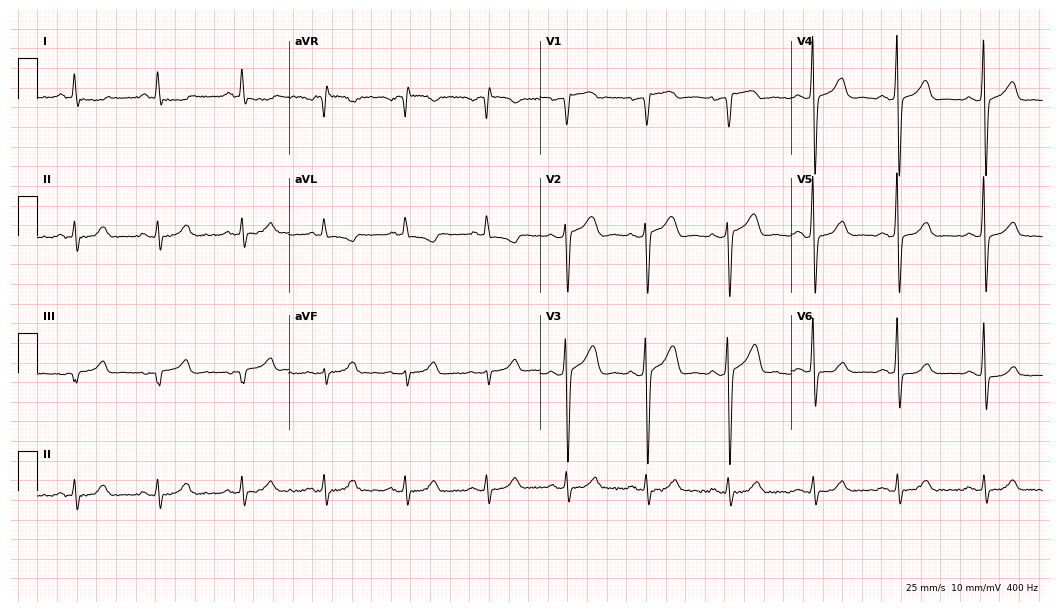
12-lead ECG (10.2-second recording at 400 Hz) from a 45-year-old man. Screened for six findings — first-degree AV block, right bundle branch block, left bundle branch block, sinus bradycardia, atrial fibrillation, sinus tachycardia — none is recorded. Only these six findings were labelled.